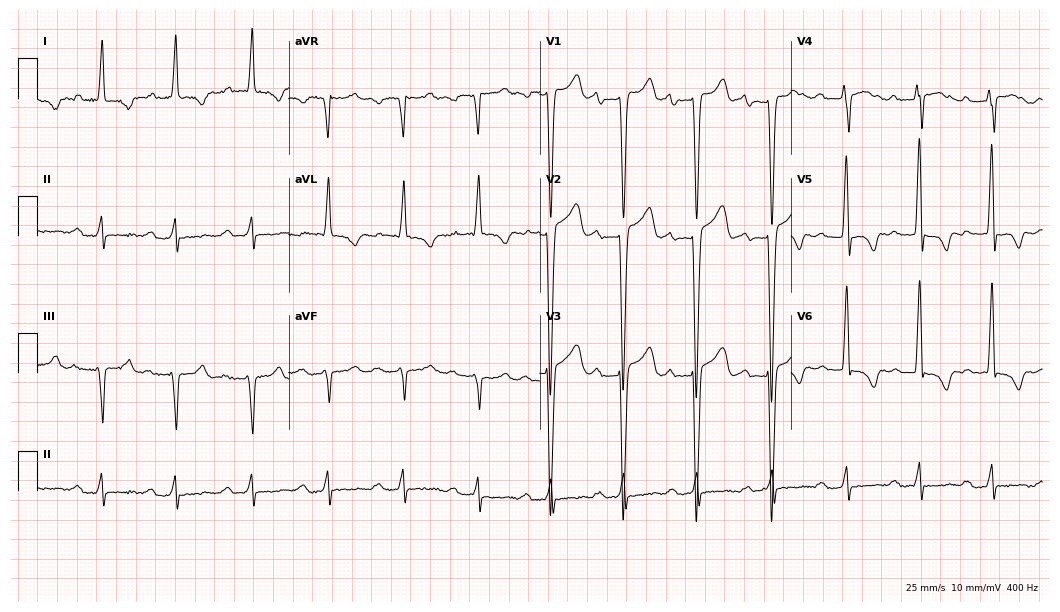
Standard 12-lead ECG recorded from a male, 57 years old. The tracing shows first-degree AV block.